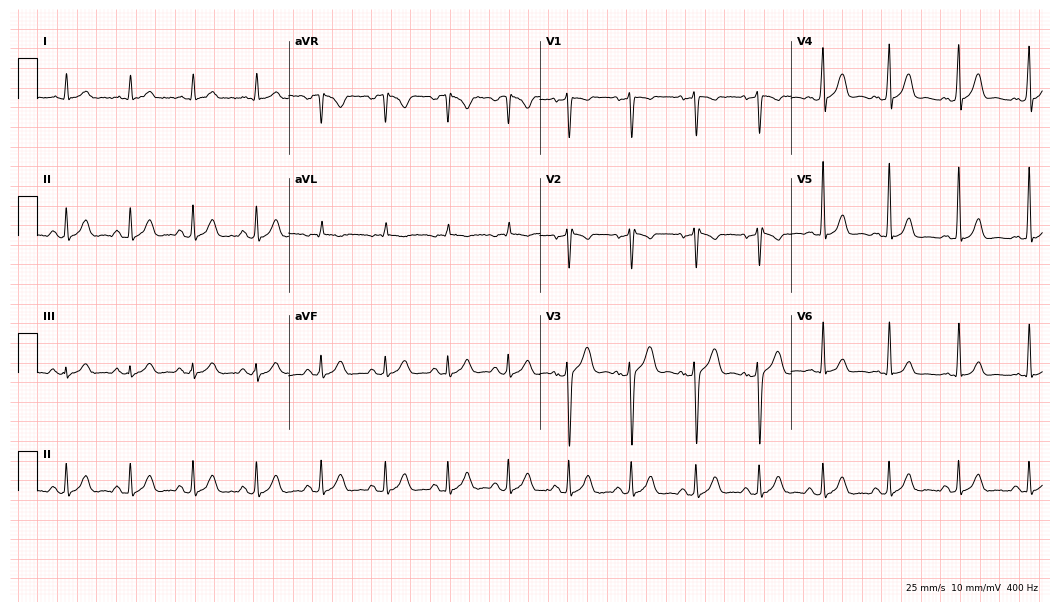
Resting 12-lead electrocardiogram. Patient: a male, 36 years old. Read as a normal ECG.